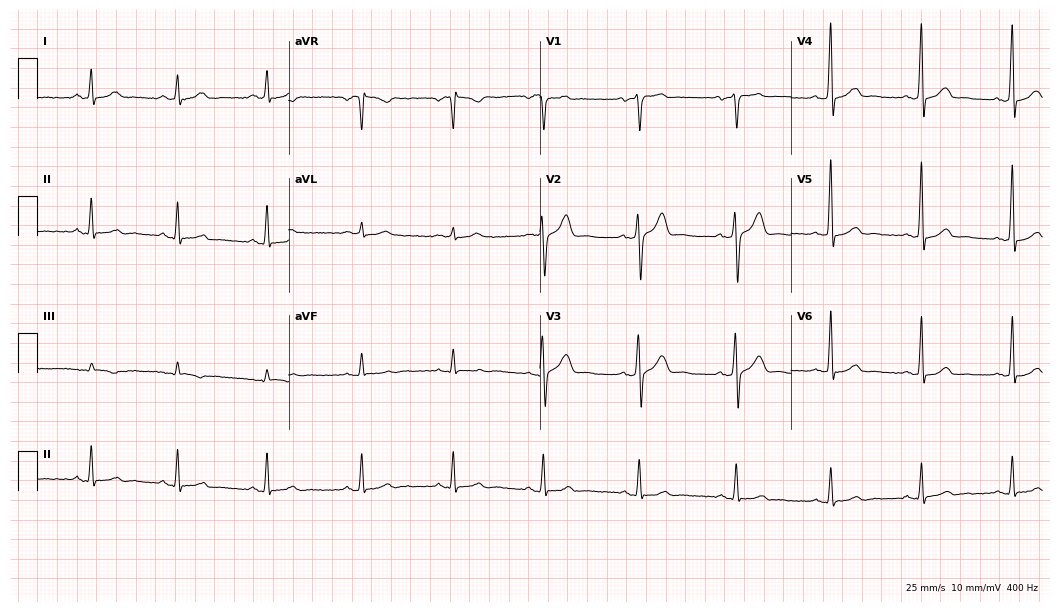
12-lead ECG from a 74-year-old male. Labelled as a normal ECG.